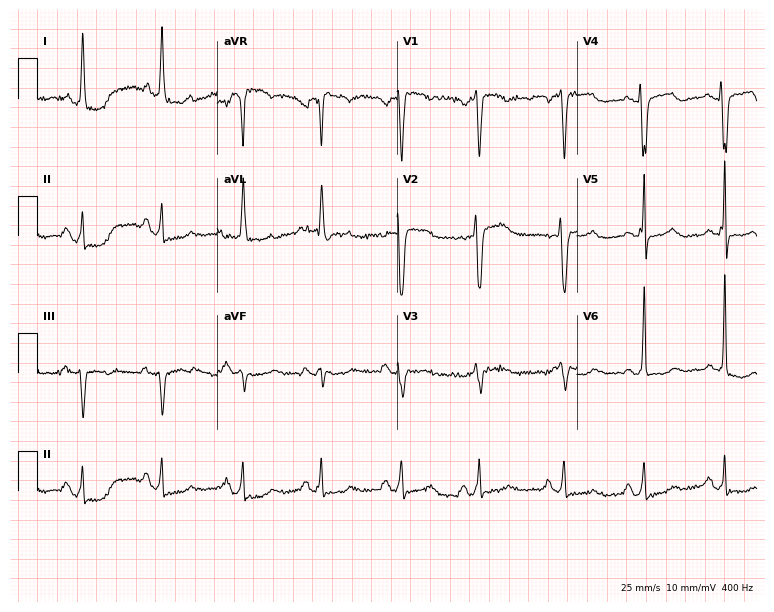
Electrocardiogram, a 74-year-old female patient. Of the six screened findings (first-degree AV block, right bundle branch block, left bundle branch block, sinus bradycardia, atrial fibrillation, sinus tachycardia), none is recorded. Other findings, if any, are not listed.